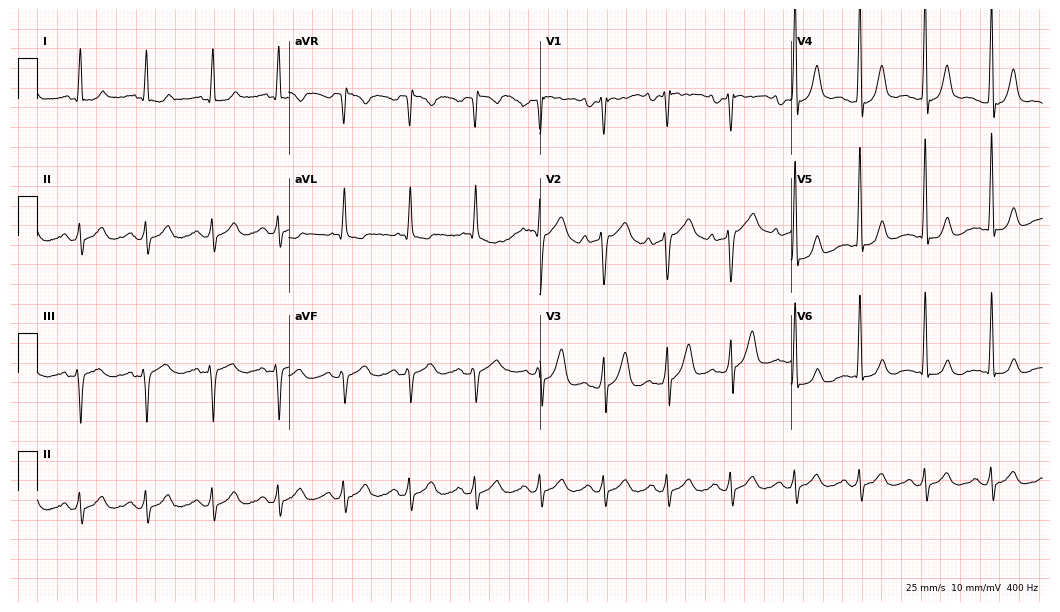
Resting 12-lead electrocardiogram. Patient: a 46-year-old man. Read as a normal ECG.